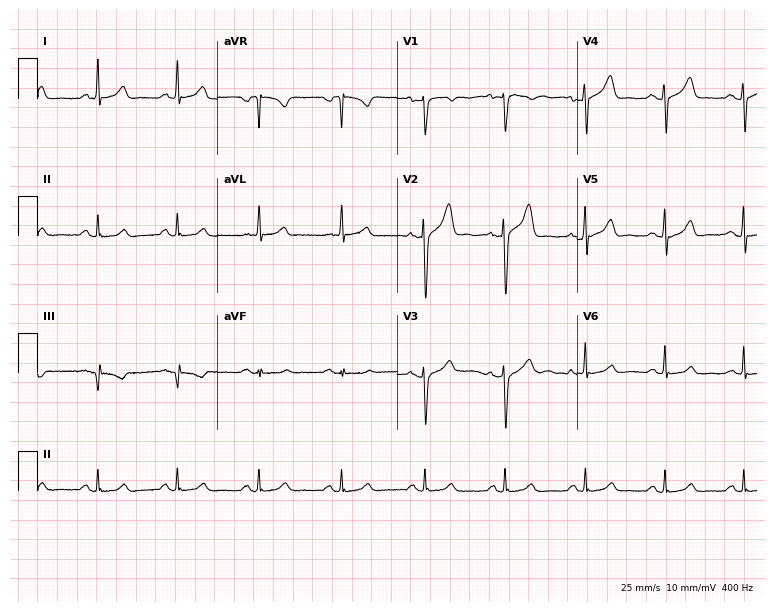
12-lead ECG from a 47-year-old male. Recorded interpretation: within normal limits.